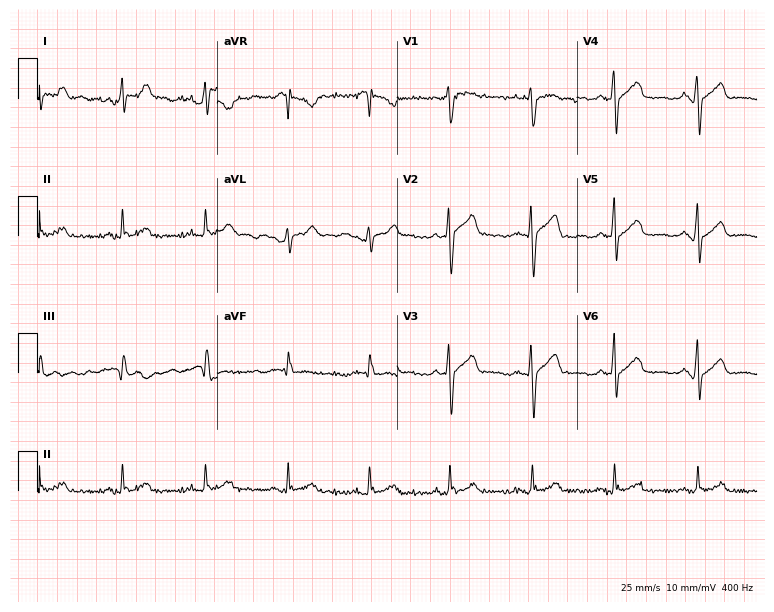
12-lead ECG from a male, 56 years old. Recorded interpretation: within normal limits.